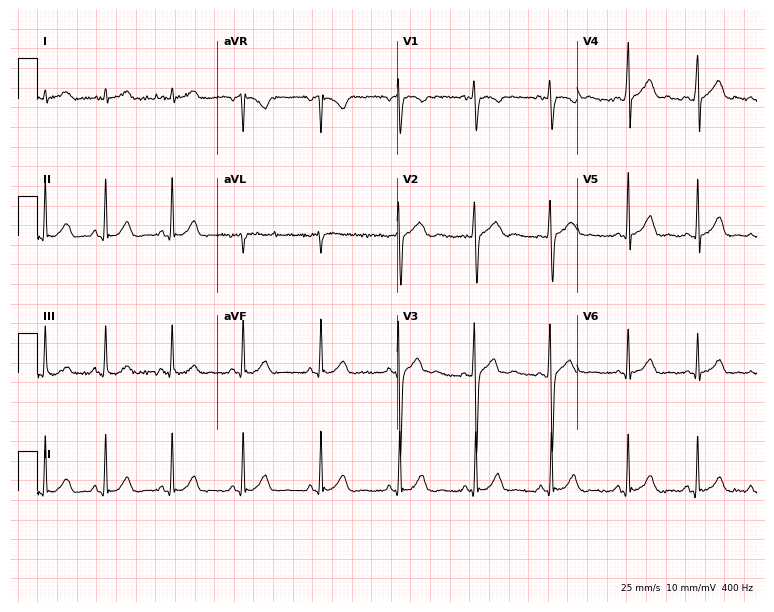
ECG (7.3-second recording at 400 Hz) — a male, 20 years old. Labelled as a normal ECG.